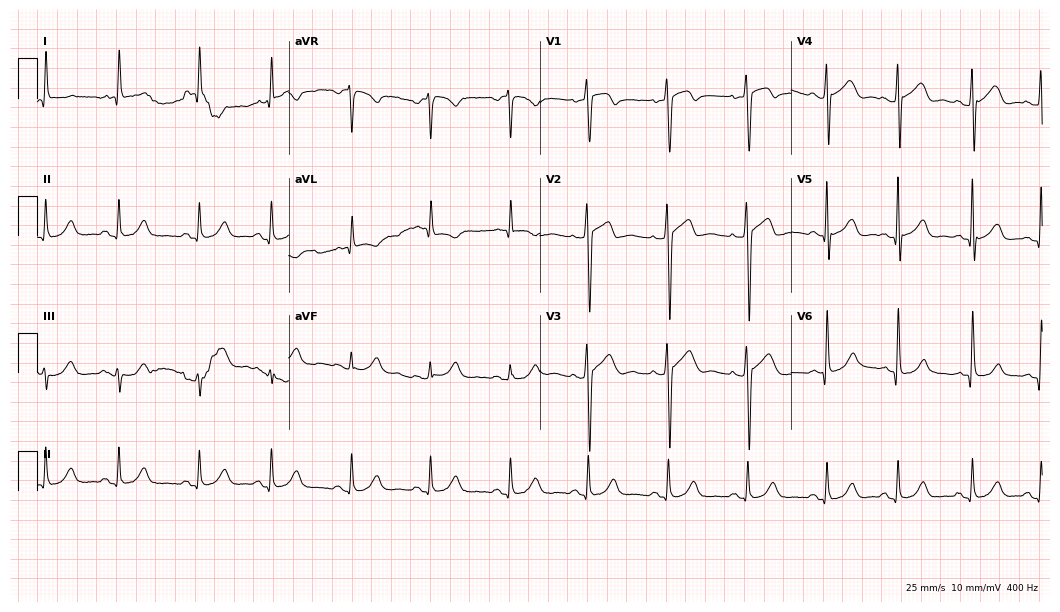
Resting 12-lead electrocardiogram. Patient: a male, 71 years old. Read as a normal ECG.